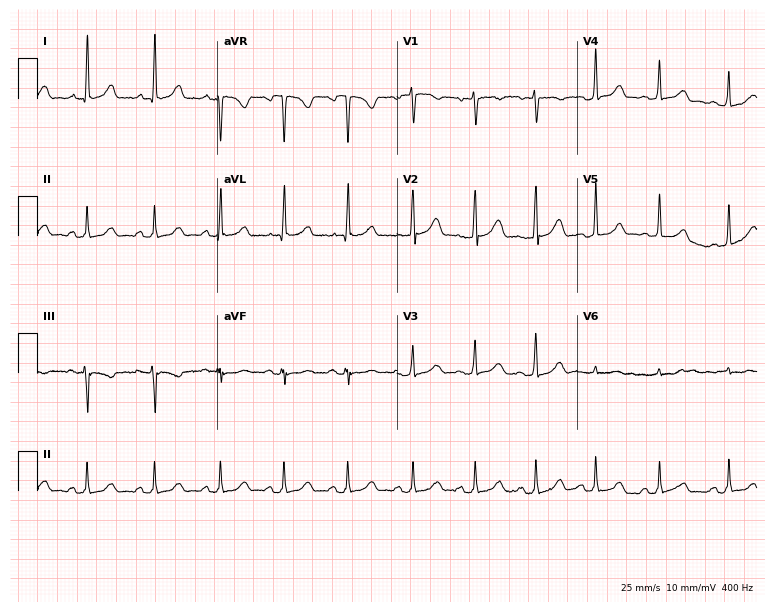
Standard 12-lead ECG recorded from a woman, 43 years old. None of these six findings is recorded: first-degree AV block, right bundle branch block, left bundle branch block, sinus bradycardia, atrial fibrillation, sinus tachycardia.